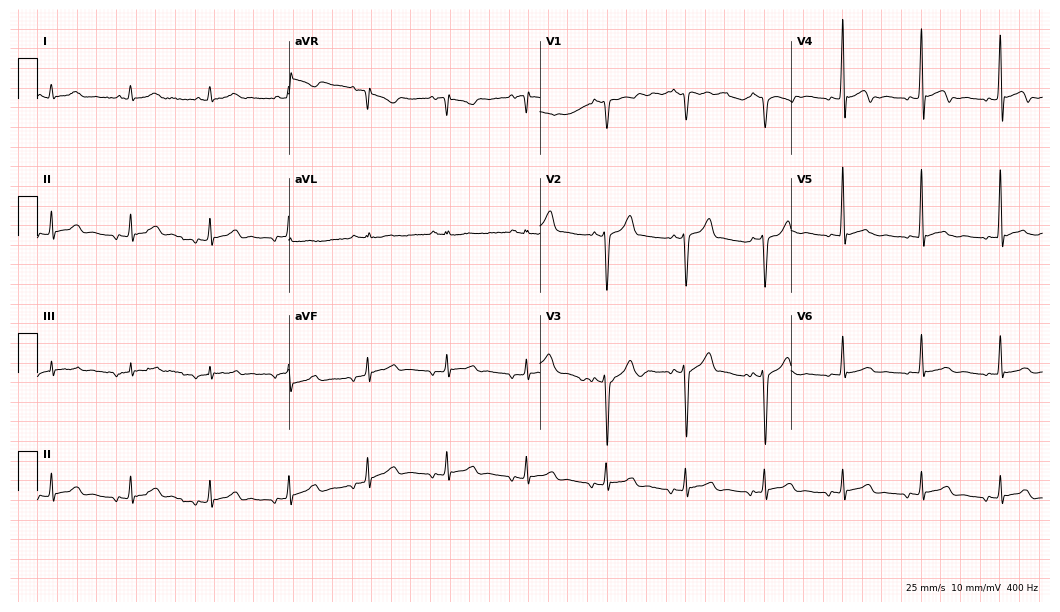
12-lead ECG from a male patient, 52 years old (10.2-second recording at 400 Hz). No first-degree AV block, right bundle branch block, left bundle branch block, sinus bradycardia, atrial fibrillation or sinus tachycardia recorded for this tracing.